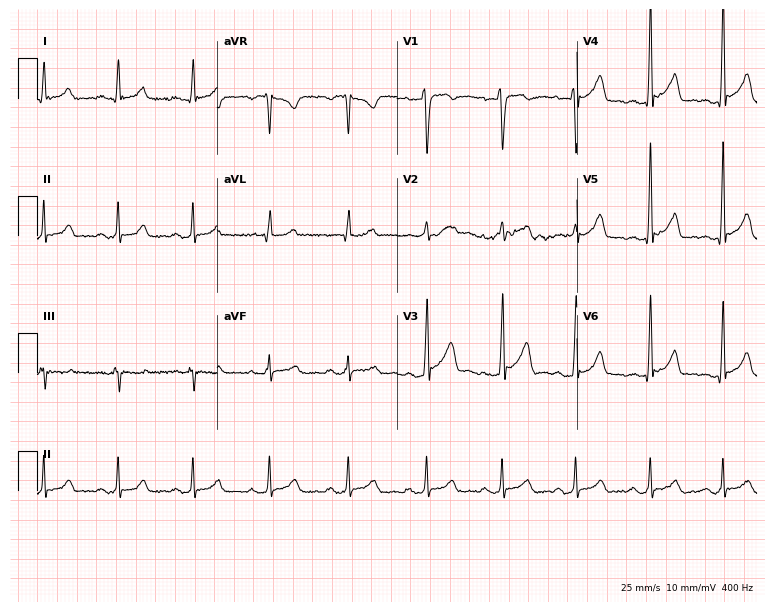
Electrocardiogram (7.3-second recording at 400 Hz), a male patient, 31 years old. Overall reading on record: normal ECG.